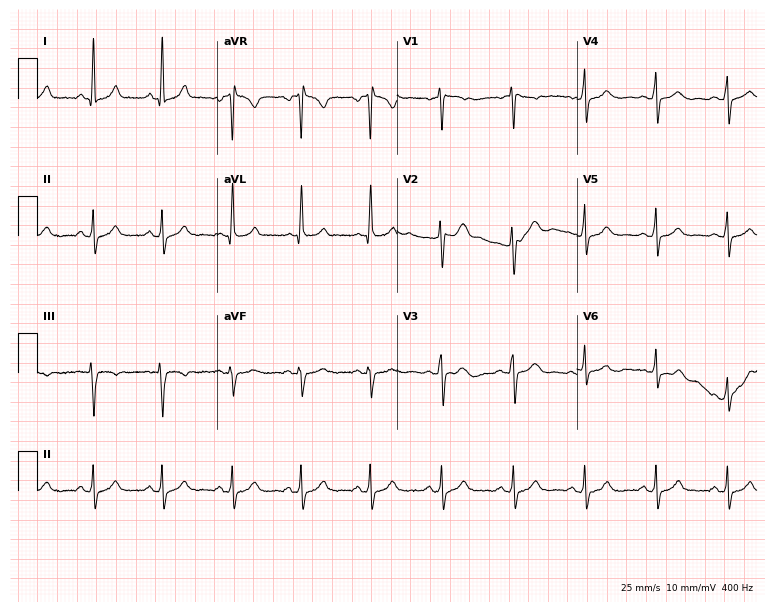
ECG — a woman, 27 years old. Labelled as a normal ECG.